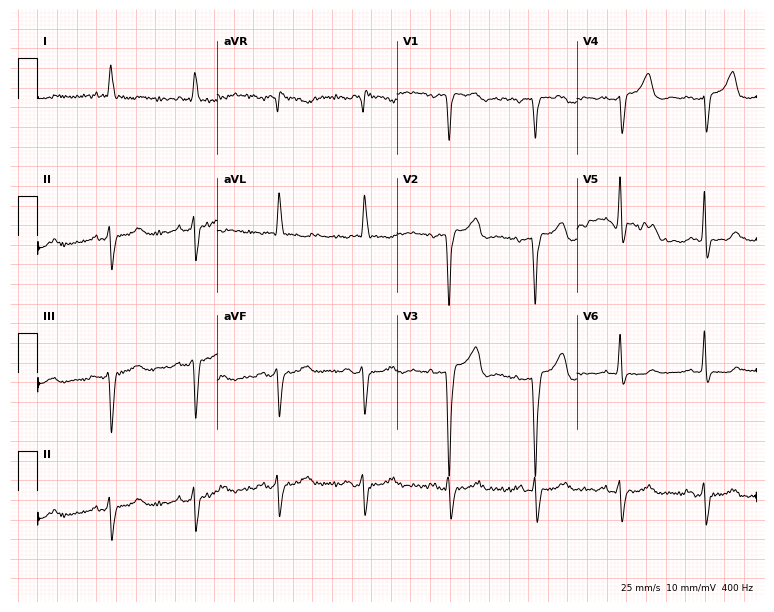
Resting 12-lead electrocardiogram (7.3-second recording at 400 Hz). Patient: a 67-year-old woman. None of these six findings is recorded: first-degree AV block, right bundle branch block, left bundle branch block, sinus bradycardia, atrial fibrillation, sinus tachycardia.